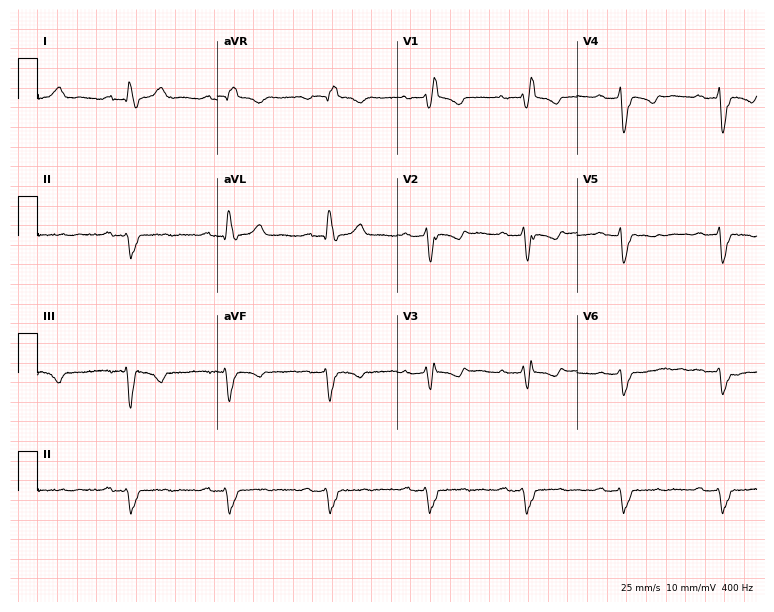
Electrocardiogram (7.3-second recording at 400 Hz), a 62-year-old female. Interpretation includes first-degree AV block, right bundle branch block (RBBB).